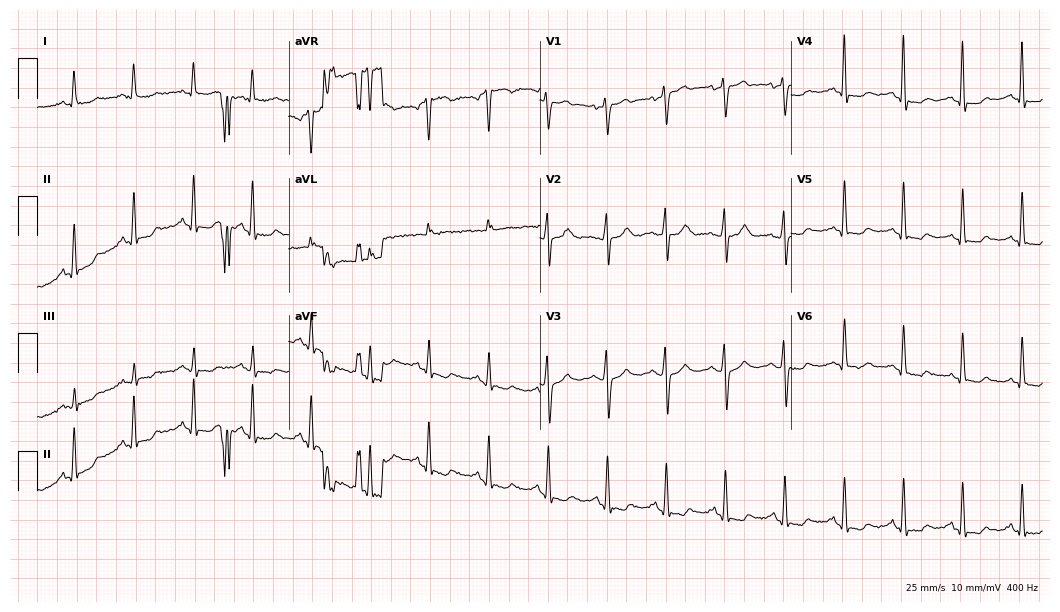
12-lead ECG from a woman, 47 years old (10.2-second recording at 400 Hz). No first-degree AV block, right bundle branch block, left bundle branch block, sinus bradycardia, atrial fibrillation or sinus tachycardia recorded for this tracing. Only these six findings were labelled.